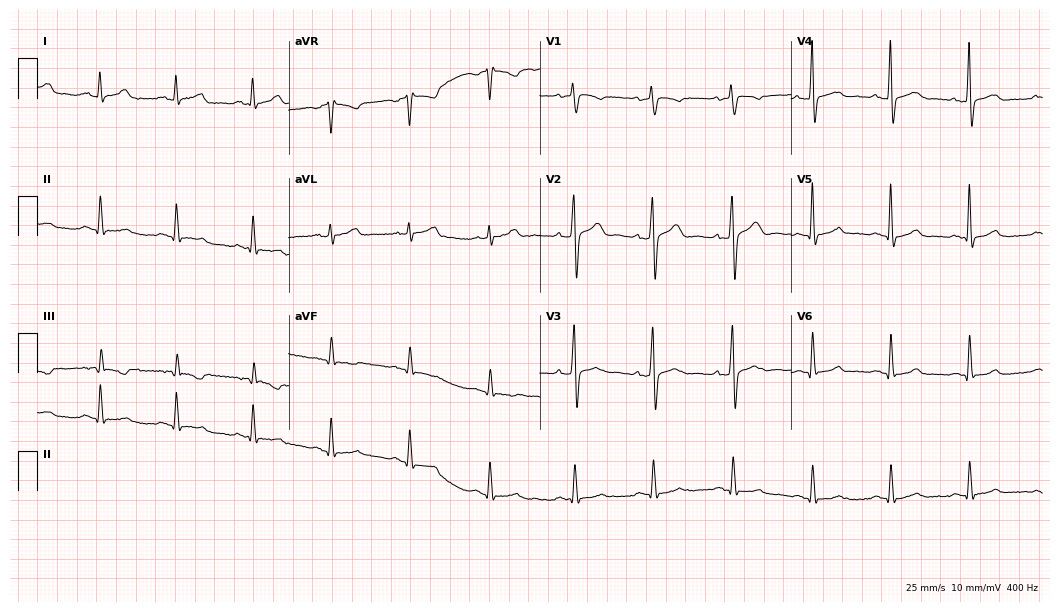
12-lead ECG from a 35-year-old male. Labelled as a normal ECG.